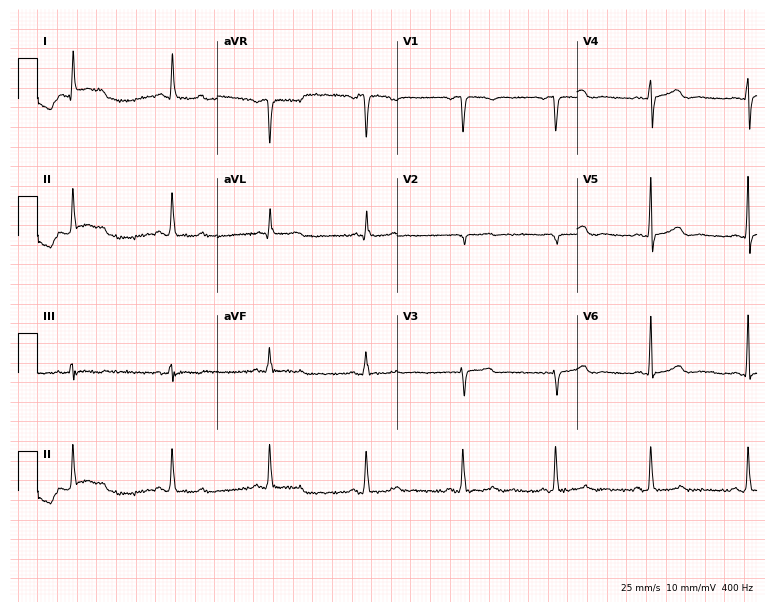
12-lead ECG from a 42-year-old female patient. Screened for six findings — first-degree AV block, right bundle branch block, left bundle branch block, sinus bradycardia, atrial fibrillation, sinus tachycardia — none is recorded.